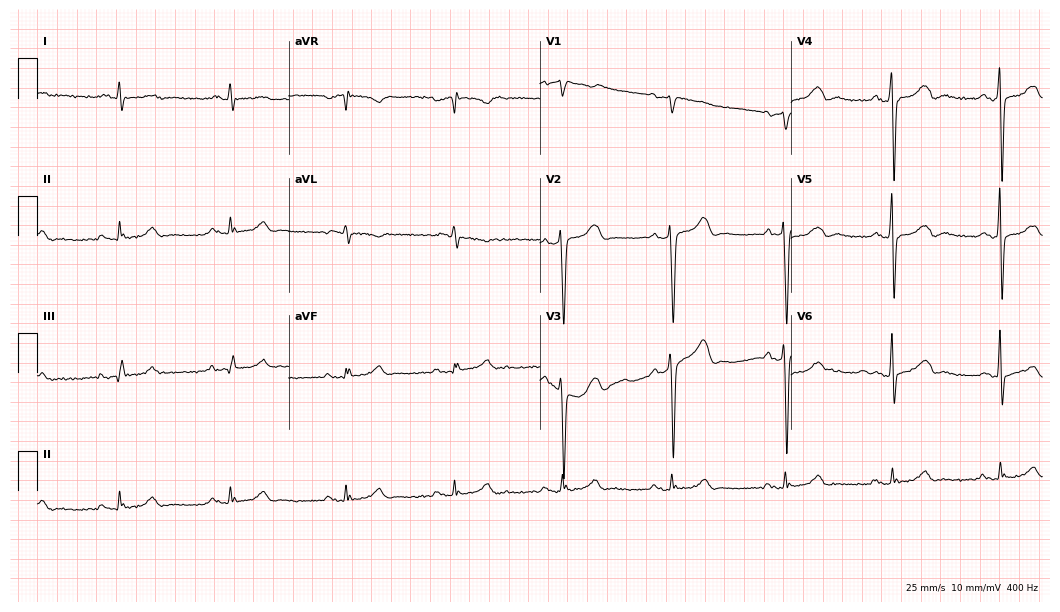
ECG (10.2-second recording at 400 Hz) — a male patient, 70 years old. Screened for six findings — first-degree AV block, right bundle branch block, left bundle branch block, sinus bradycardia, atrial fibrillation, sinus tachycardia — none is recorded.